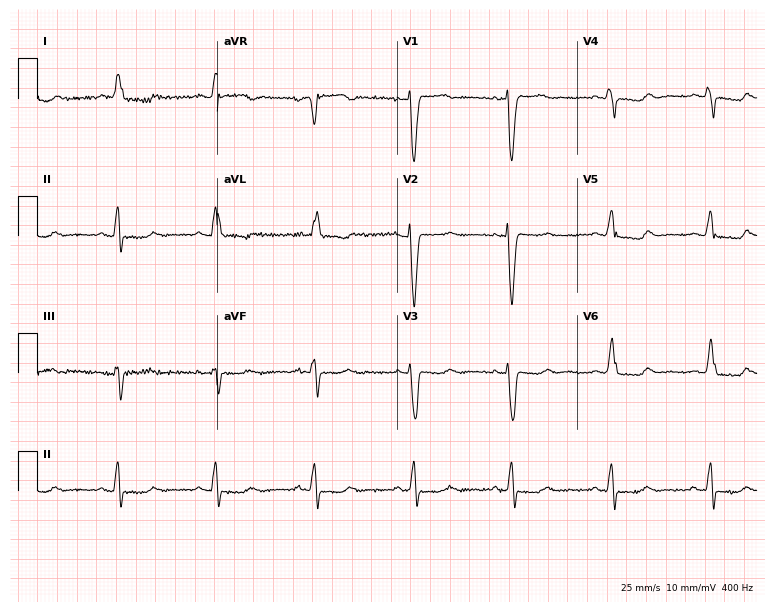
Electrocardiogram, a woman, 85 years old. Interpretation includes left bundle branch block (LBBB).